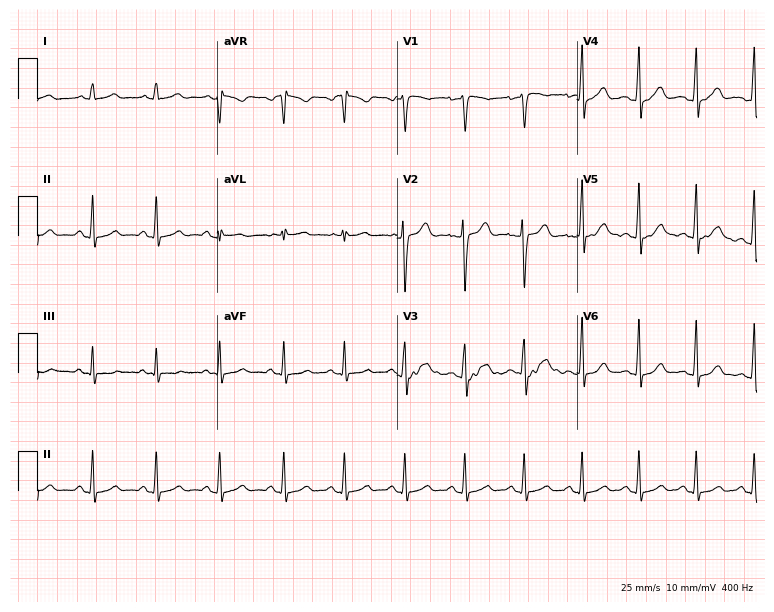
Resting 12-lead electrocardiogram. Patient: a female, 28 years old. Read as a normal ECG.